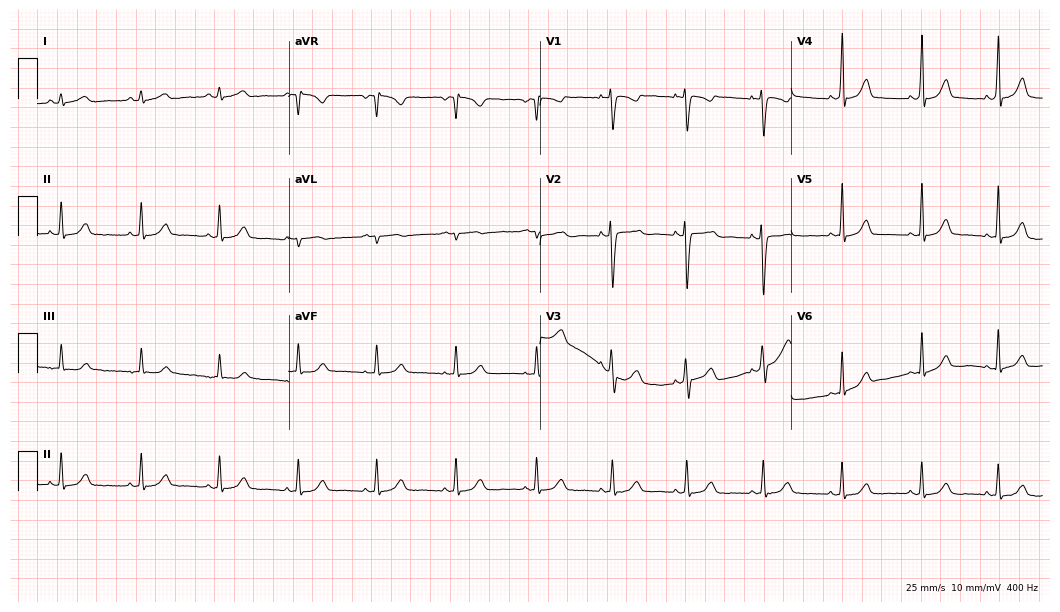
Resting 12-lead electrocardiogram (10.2-second recording at 400 Hz). Patient: a 31-year-old woman. Read as a normal ECG.